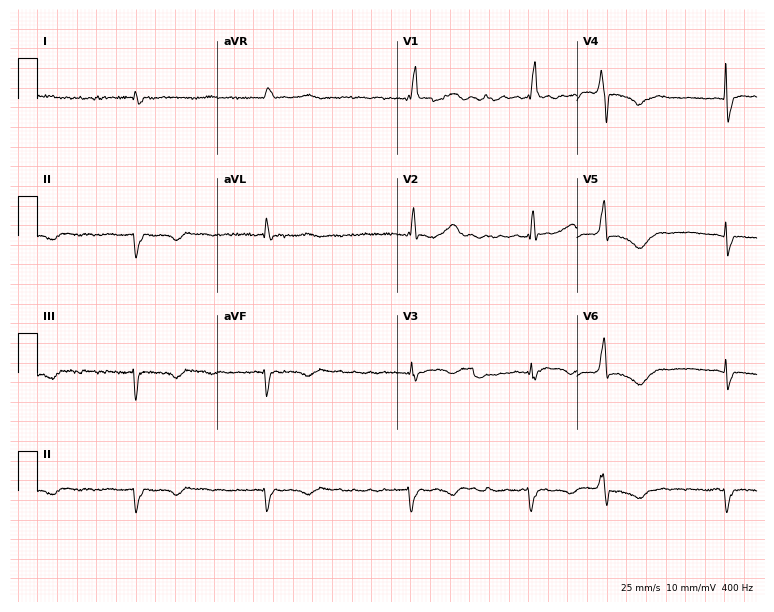
12-lead ECG from a 75-year-old man (7.3-second recording at 400 Hz). Shows atrial fibrillation.